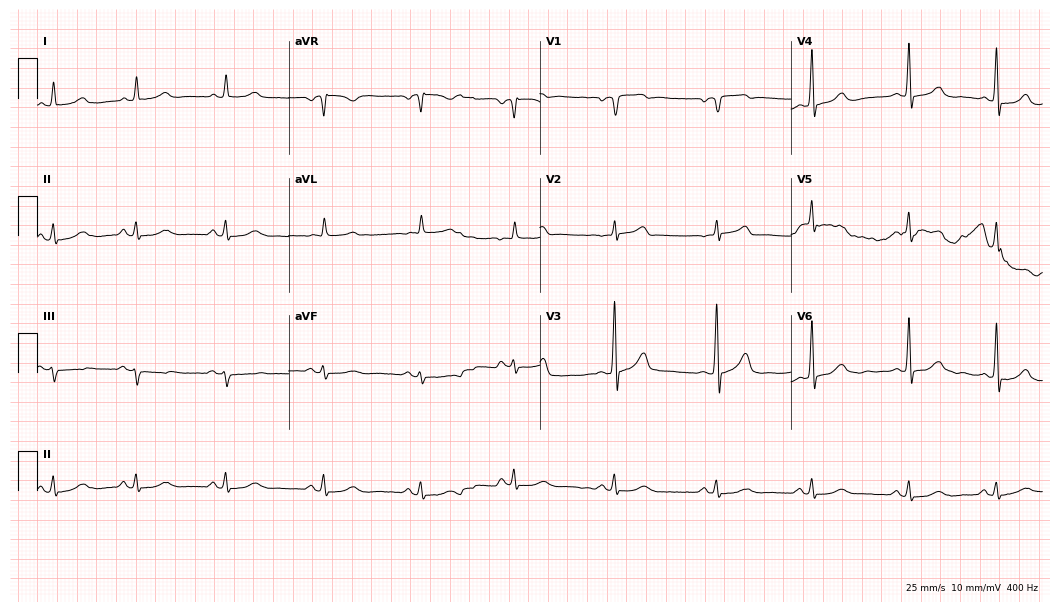
Resting 12-lead electrocardiogram (10.2-second recording at 400 Hz). Patient: a 79-year-old male. Read as a normal ECG.